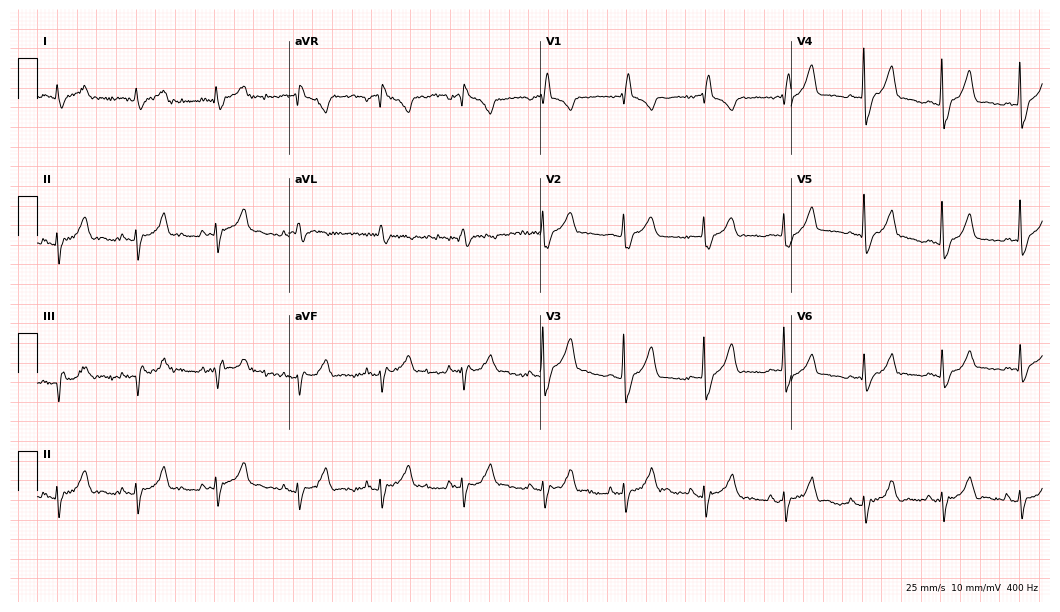
Electrocardiogram (10.2-second recording at 400 Hz), a 72-year-old male patient. Interpretation includes right bundle branch block.